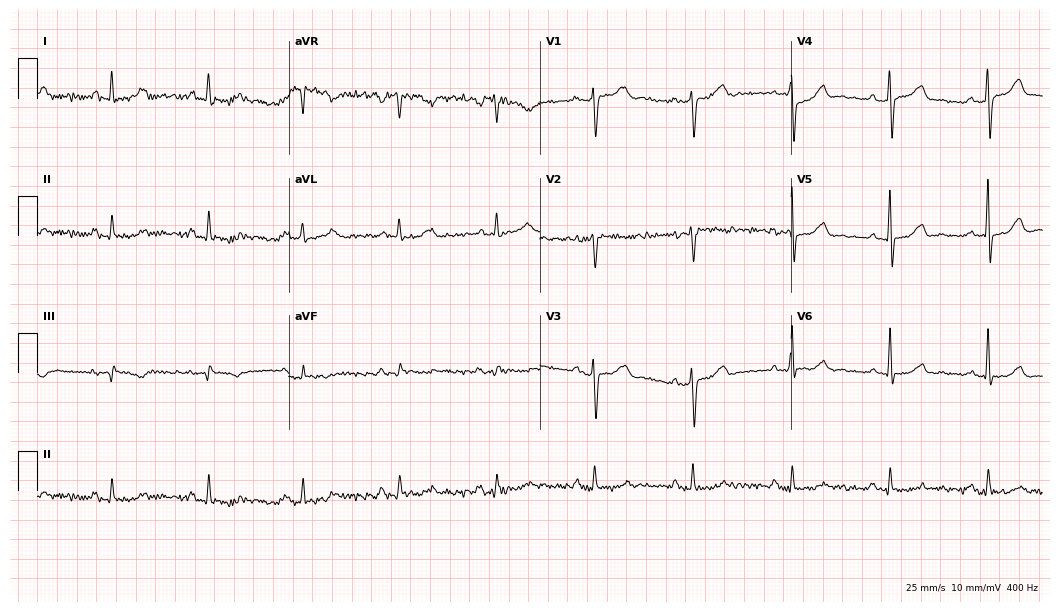
12-lead ECG from a 76-year-old female (10.2-second recording at 400 Hz). No first-degree AV block, right bundle branch block, left bundle branch block, sinus bradycardia, atrial fibrillation or sinus tachycardia recorded for this tracing. Only these six findings were labelled.